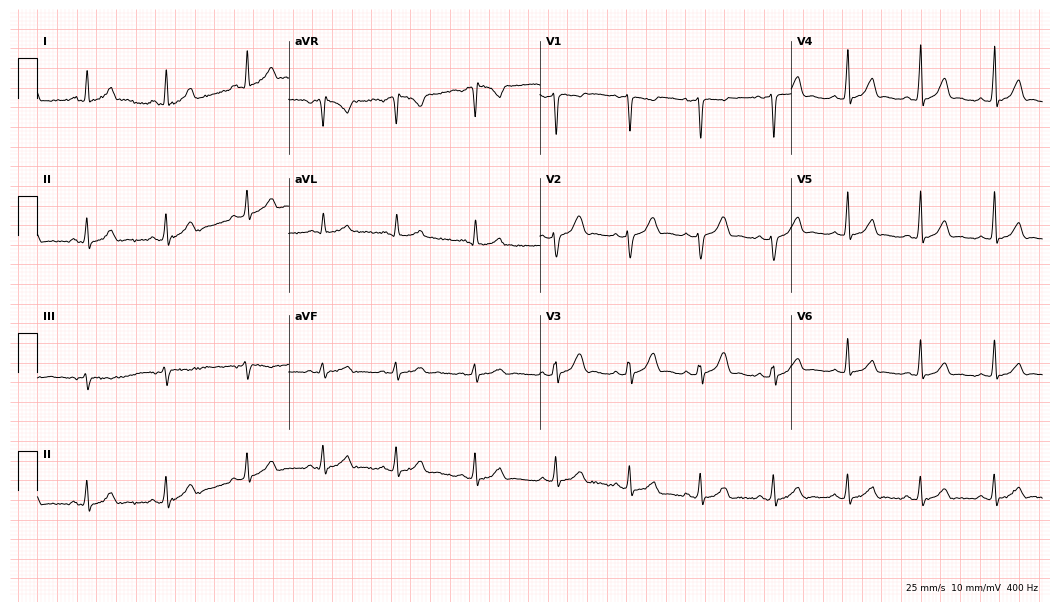
Electrocardiogram, a 35-year-old woman. Overall reading on record: normal ECG.